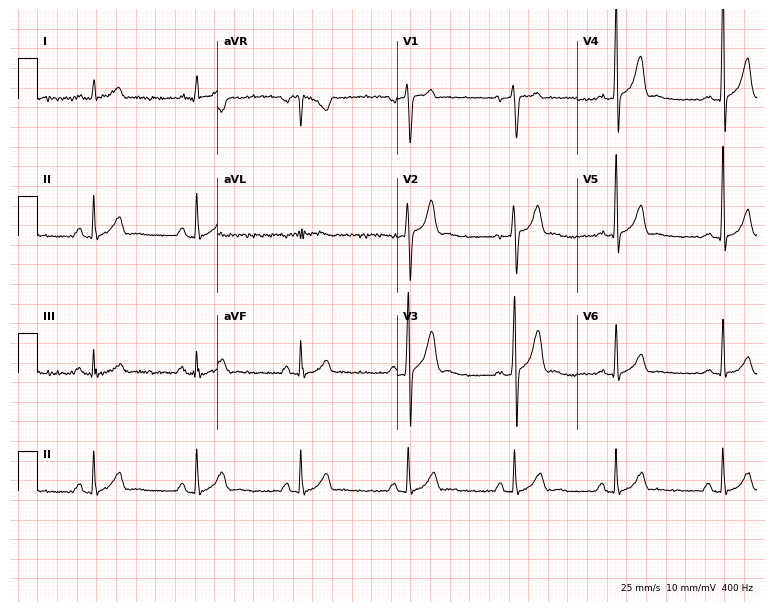
ECG — a 23-year-old woman. Labelled as a normal ECG.